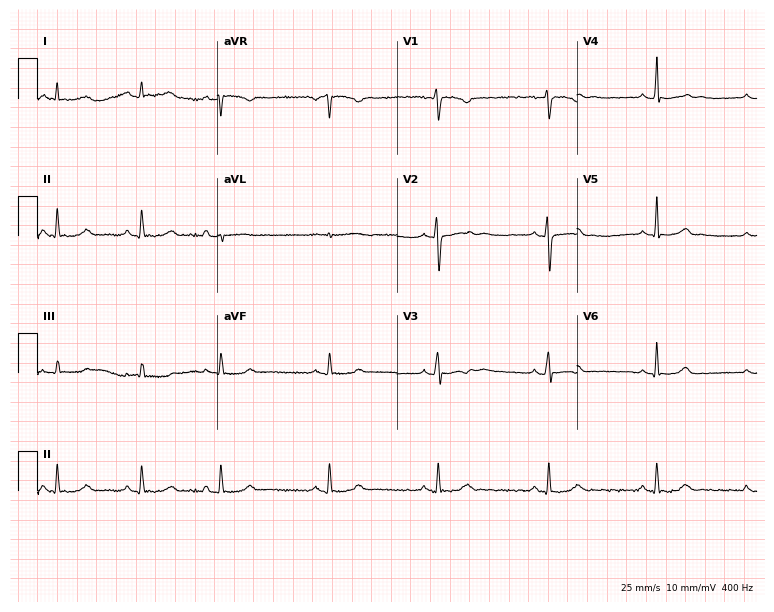
Resting 12-lead electrocardiogram. Patient: a 20-year-old woman. Read as a normal ECG.